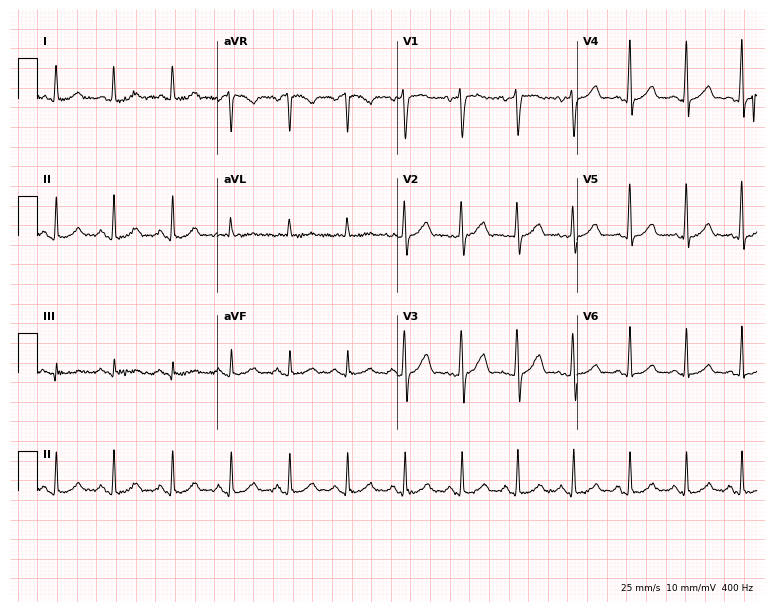
12-lead ECG from a 53-year-old female patient (7.3-second recording at 400 Hz). Shows sinus tachycardia (a sinus rate of 100 beats per minute or more).